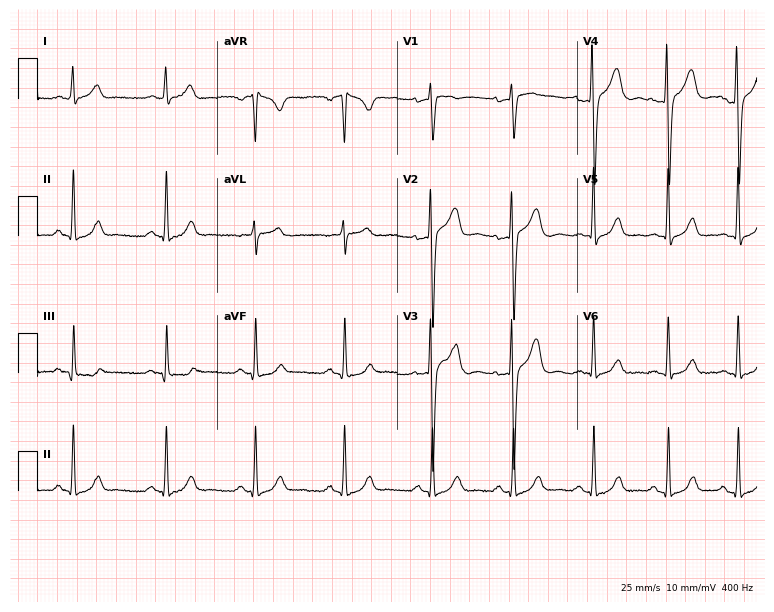
12-lead ECG (7.3-second recording at 400 Hz) from a 37-year-old man. Screened for six findings — first-degree AV block, right bundle branch block (RBBB), left bundle branch block (LBBB), sinus bradycardia, atrial fibrillation (AF), sinus tachycardia — none is recorded. Only these six findings were labelled.